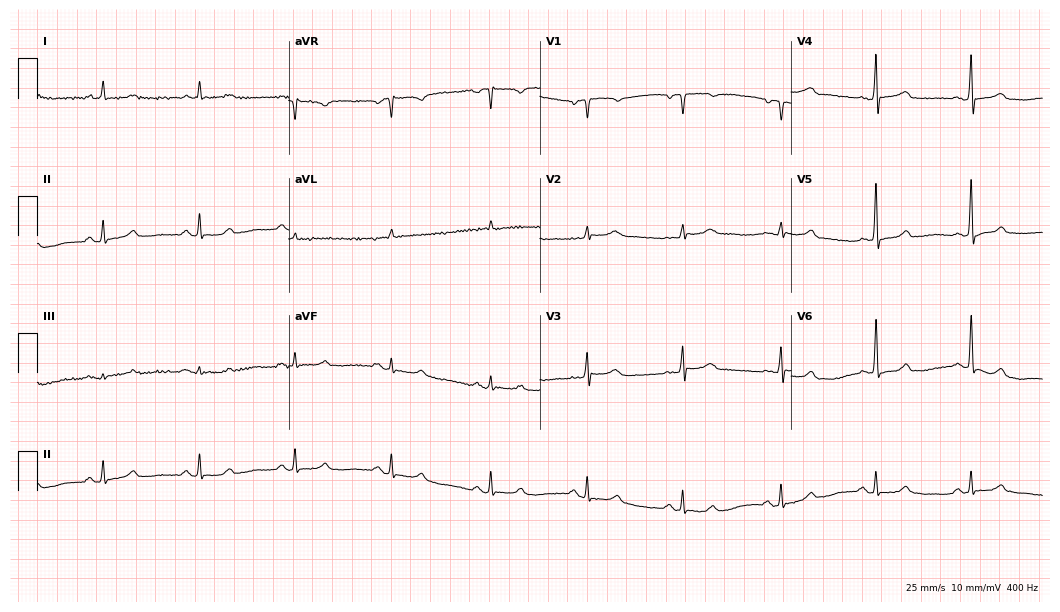
Resting 12-lead electrocardiogram (10.2-second recording at 400 Hz). Patient: a 77-year-old woman. None of these six findings is recorded: first-degree AV block, right bundle branch block (RBBB), left bundle branch block (LBBB), sinus bradycardia, atrial fibrillation (AF), sinus tachycardia.